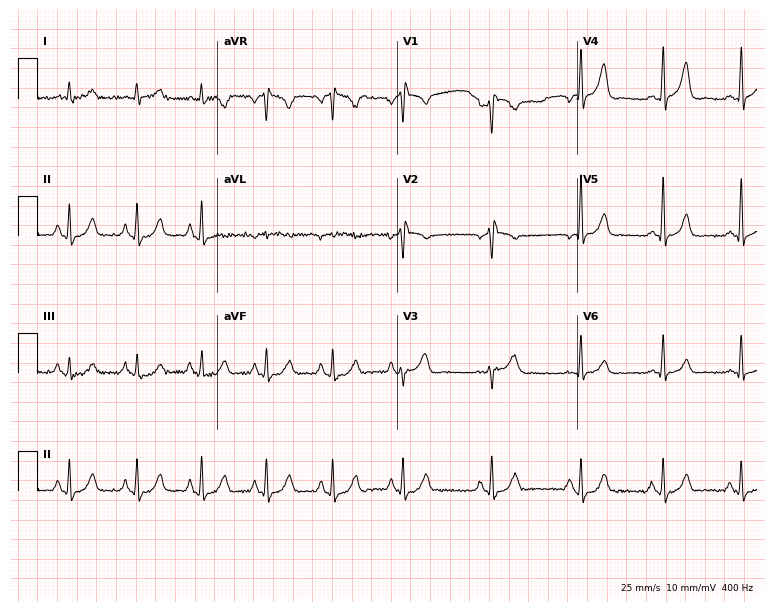
ECG (7.3-second recording at 400 Hz) — a 61-year-old male patient. Screened for six findings — first-degree AV block, right bundle branch block (RBBB), left bundle branch block (LBBB), sinus bradycardia, atrial fibrillation (AF), sinus tachycardia — none is recorded. Only these six findings were labelled.